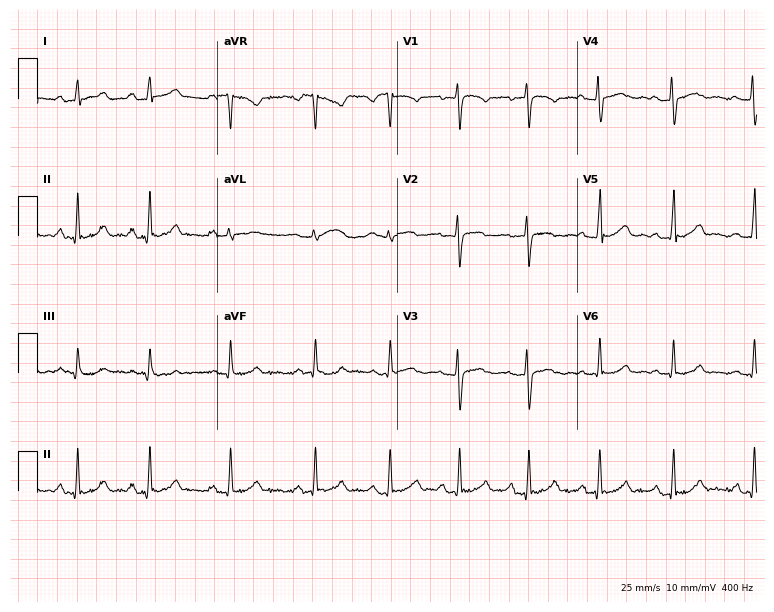
12-lead ECG from a woman, 24 years old. Labelled as a normal ECG.